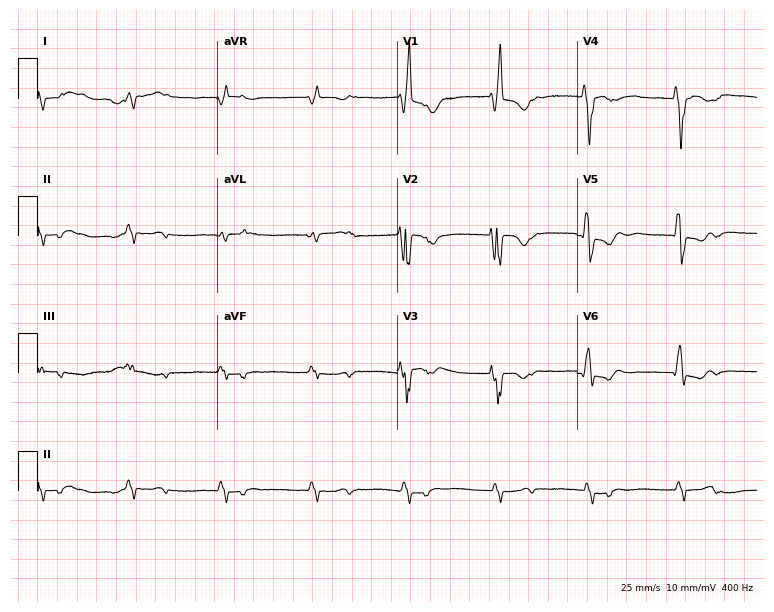
12-lead ECG (7.3-second recording at 400 Hz) from a woman, 83 years old. Screened for six findings — first-degree AV block, right bundle branch block (RBBB), left bundle branch block (LBBB), sinus bradycardia, atrial fibrillation (AF), sinus tachycardia — none is recorded.